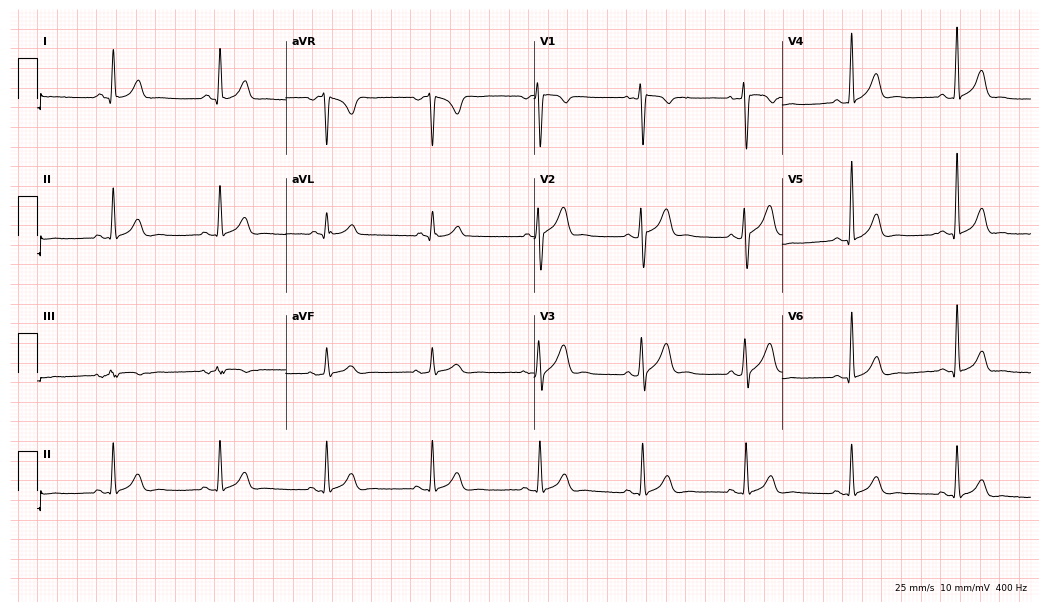
Resting 12-lead electrocardiogram. Patient: a male, 35 years old. None of these six findings is recorded: first-degree AV block, right bundle branch block, left bundle branch block, sinus bradycardia, atrial fibrillation, sinus tachycardia. Findings outside these six are not listed.